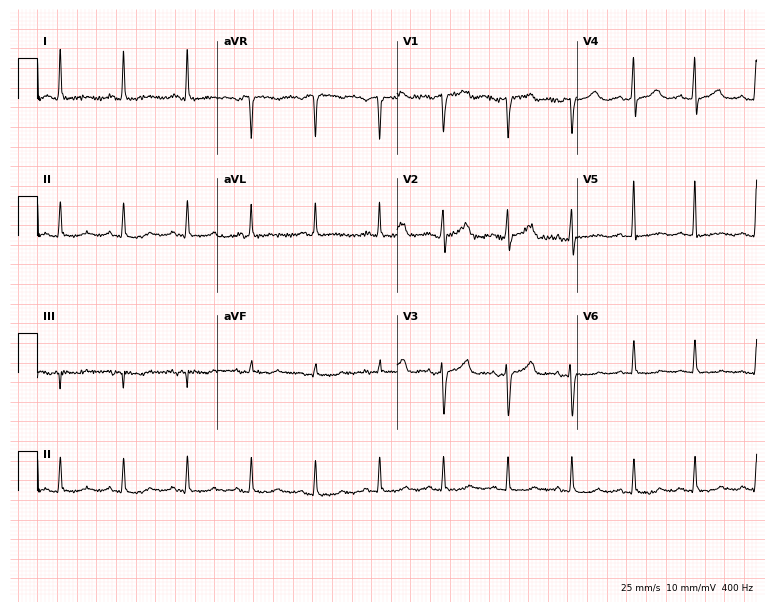
Standard 12-lead ECG recorded from a 59-year-old woman. None of these six findings is recorded: first-degree AV block, right bundle branch block, left bundle branch block, sinus bradycardia, atrial fibrillation, sinus tachycardia.